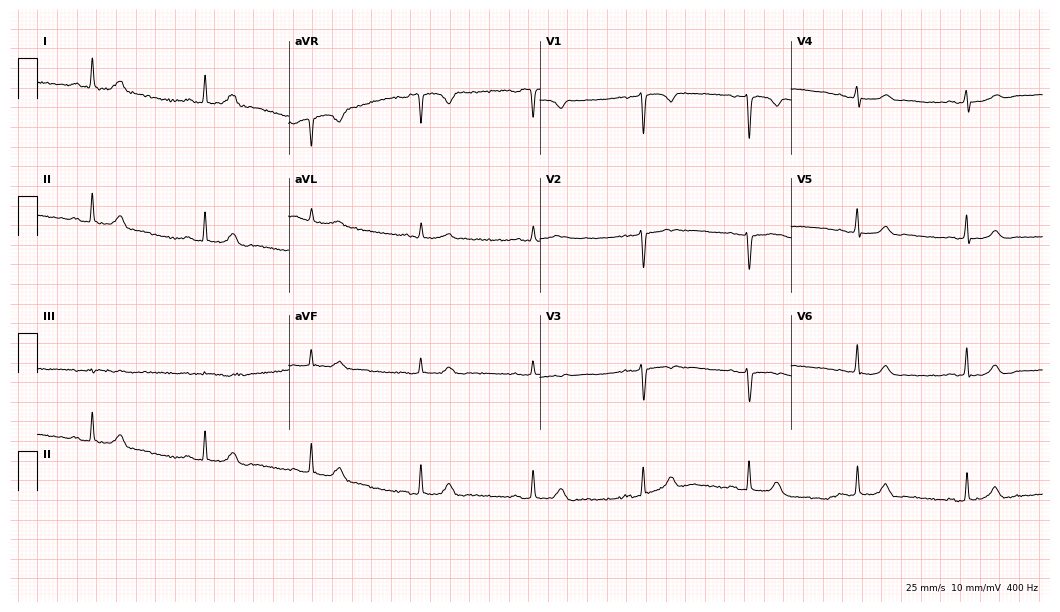
ECG — a 50-year-old female. Screened for six findings — first-degree AV block, right bundle branch block, left bundle branch block, sinus bradycardia, atrial fibrillation, sinus tachycardia — none is recorded. Only these six findings were labelled.